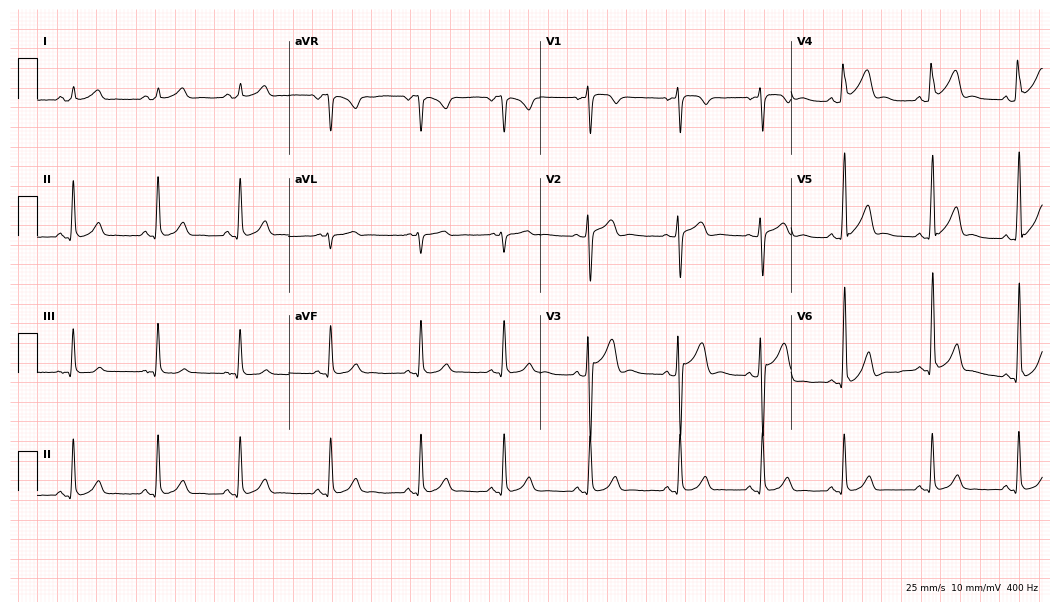
12-lead ECG from a male, 19 years old. No first-degree AV block, right bundle branch block, left bundle branch block, sinus bradycardia, atrial fibrillation or sinus tachycardia recorded for this tracing.